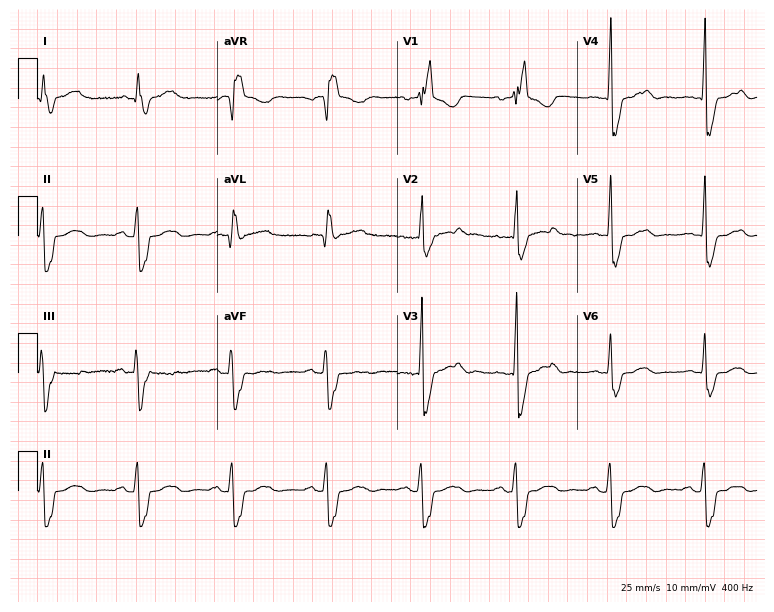
ECG (7.3-second recording at 400 Hz) — a male, 49 years old. Findings include right bundle branch block.